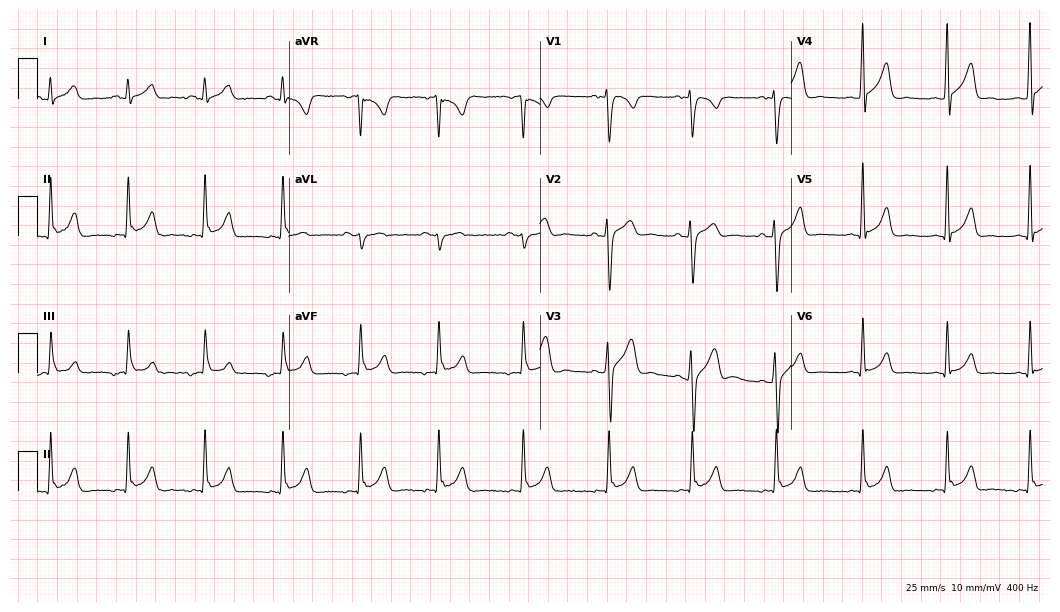
12-lead ECG from a male, 23 years old. Screened for six findings — first-degree AV block, right bundle branch block, left bundle branch block, sinus bradycardia, atrial fibrillation, sinus tachycardia — none is recorded.